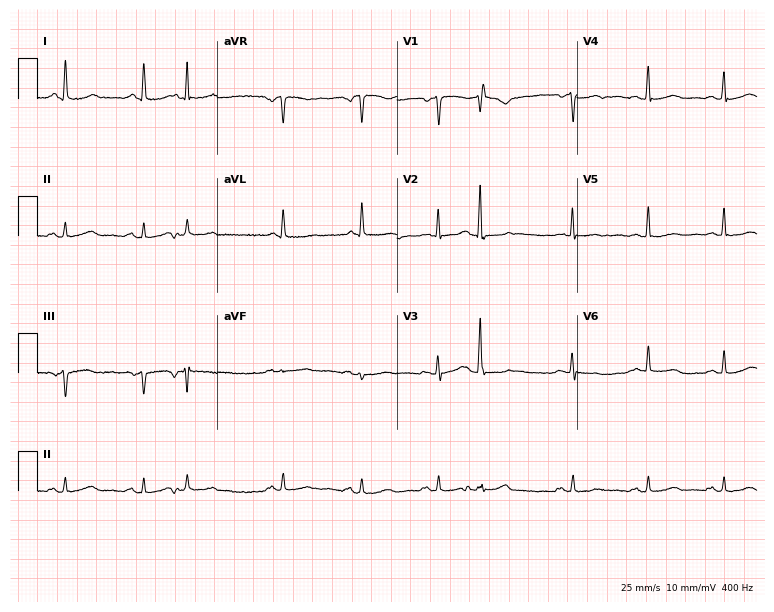
ECG (7.3-second recording at 400 Hz) — a 49-year-old female patient. Screened for six findings — first-degree AV block, right bundle branch block, left bundle branch block, sinus bradycardia, atrial fibrillation, sinus tachycardia — none is recorded. Findings outside these six are not listed.